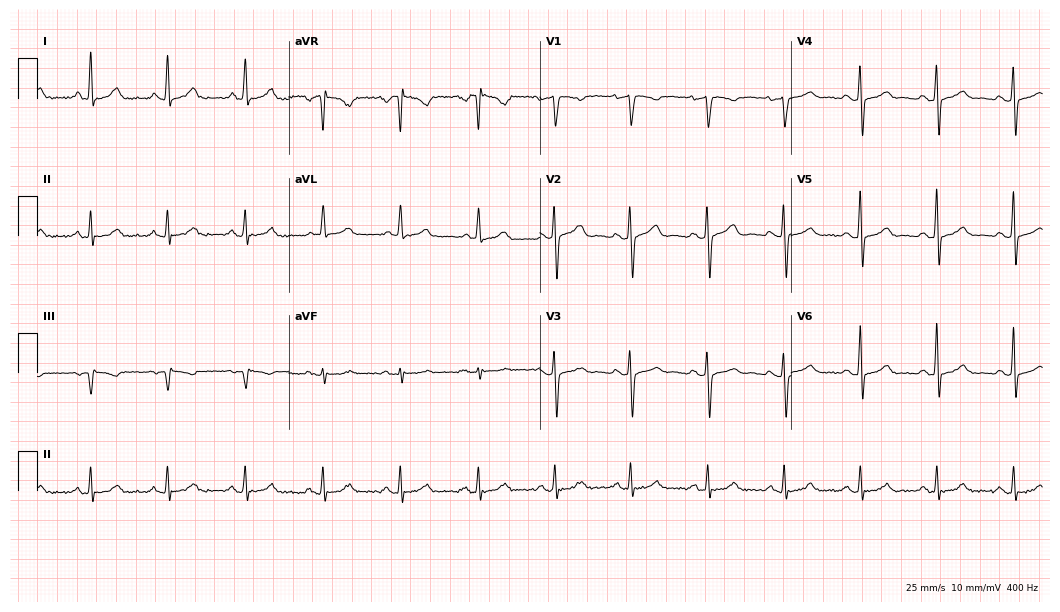
Electrocardiogram (10.2-second recording at 400 Hz), a 43-year-old female. Overall reading on record: normal ECG.